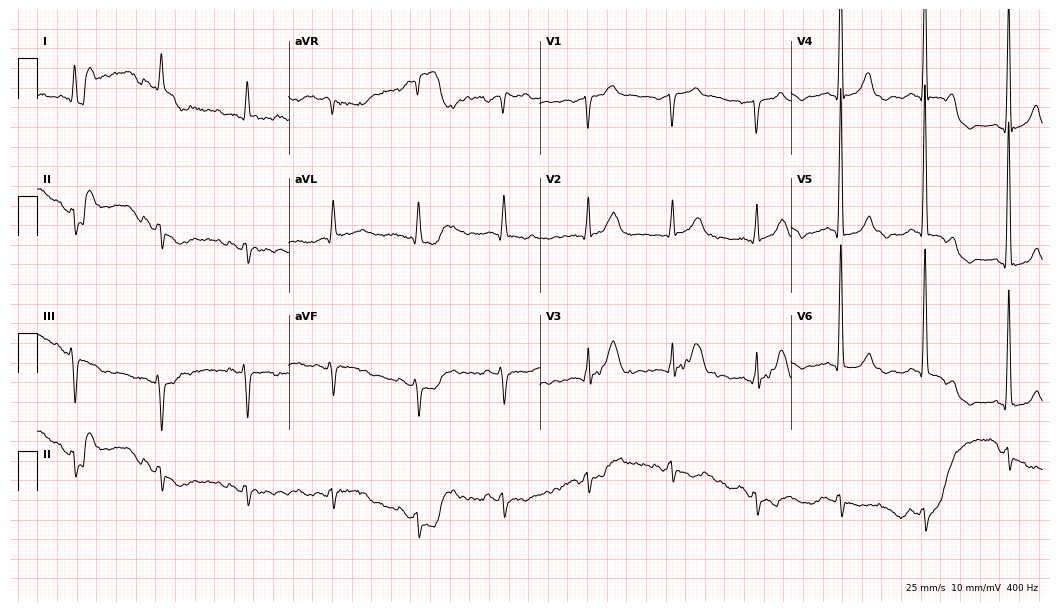
Electrocardiogram, a male patient, 84 years old. Of the six screened findings (first-degree AV block, right bundle branch block (RBBB), left bundle branch block (LBBB), sinus bradycardia, atrial fibrillation (AF), sinus tachycardia), none is recorded.